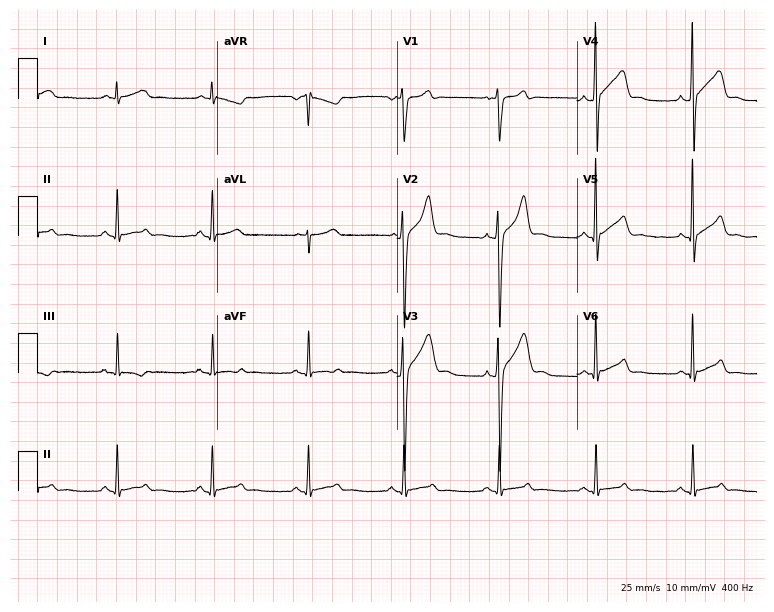
Resting 12-lead electrocardiogram. Patient: a 31-year-old male. Read as a normal ECG.